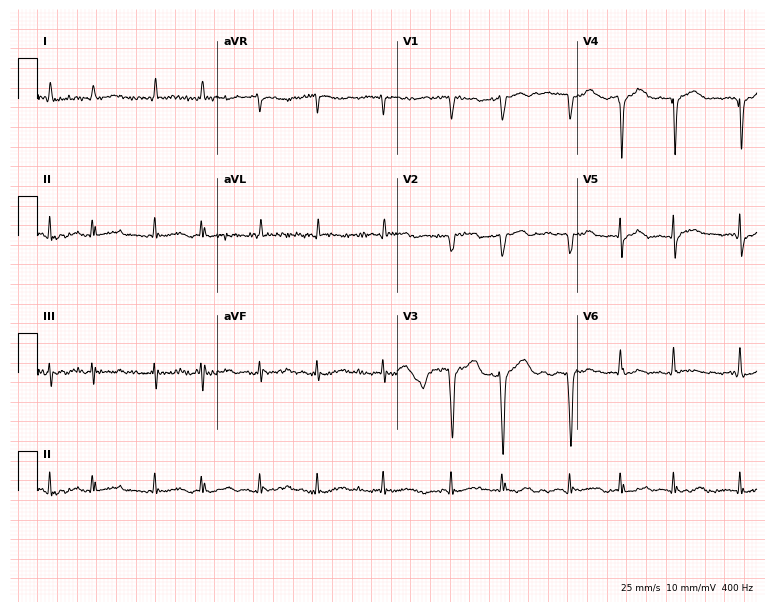
Electrocardiogram, a 73-year-old male. Interpretation includes atrial fibrillation.